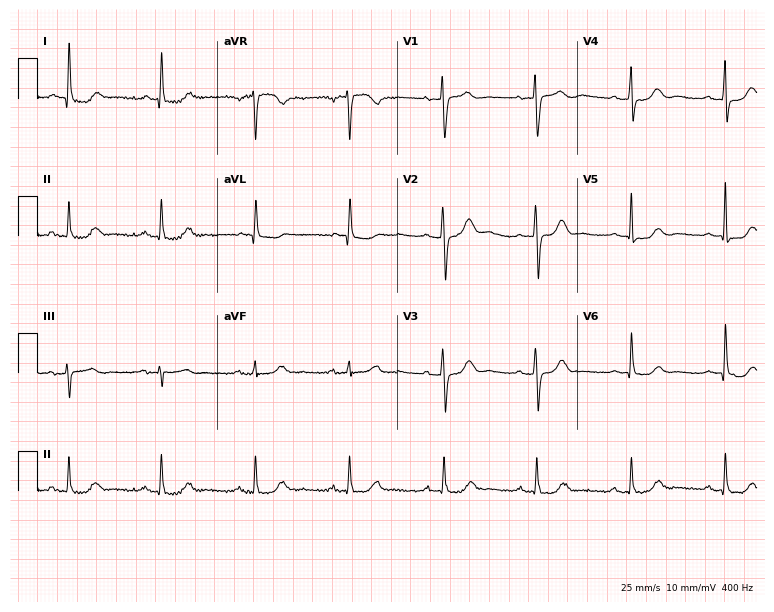
Resting 12-lead electrocardiogram. Patient: a woman, 82 years old. Read as a normal ECG.